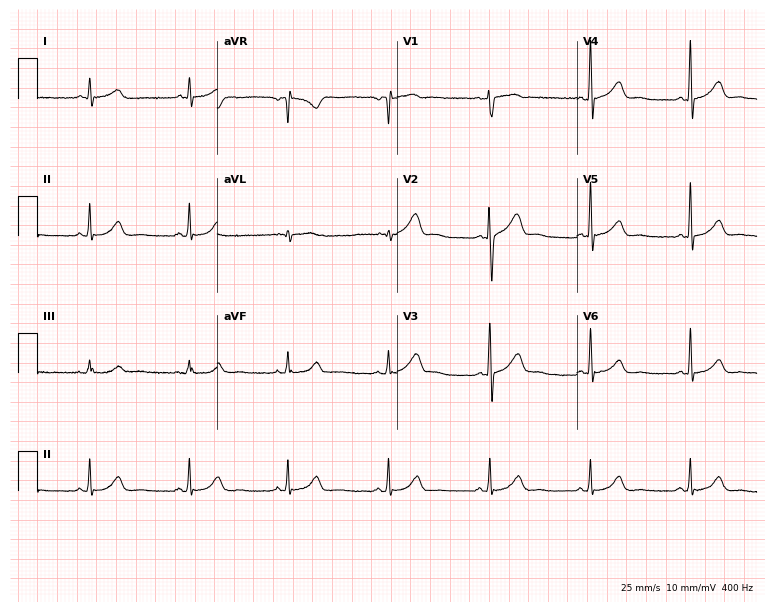
ECG (7.3-second recording at 400 Hz) — a male patient, 49 years old. Labelled as a normal ECG.